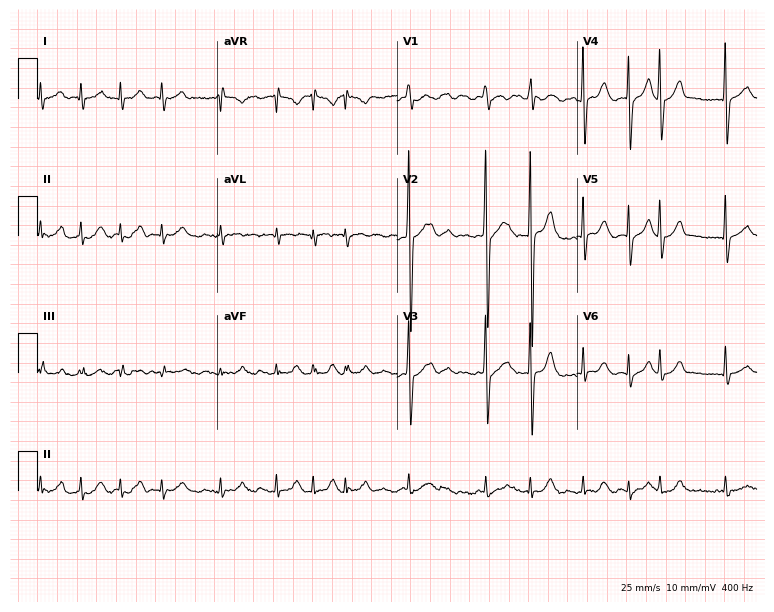
ECG — a 63-year-old male. Findings include atrial fibrillation.